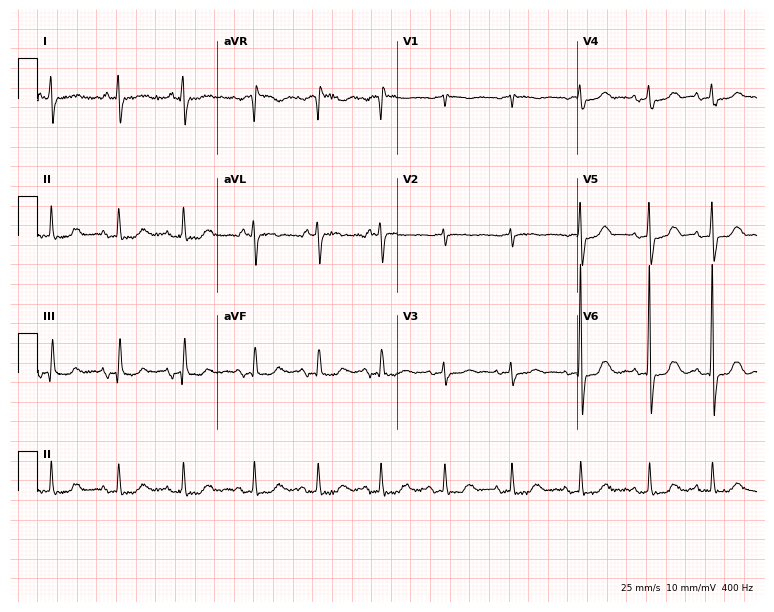
12-lead ECG from a woman, 80 years old (7.3-second recording at 400 Hz). No first-degree AV block, right bundle branch block, left bundle branch block, sinus bradycardia, atrial fibrillation or sinus tachycardia recorded for this tracing. Other findings, if any, are not listed.